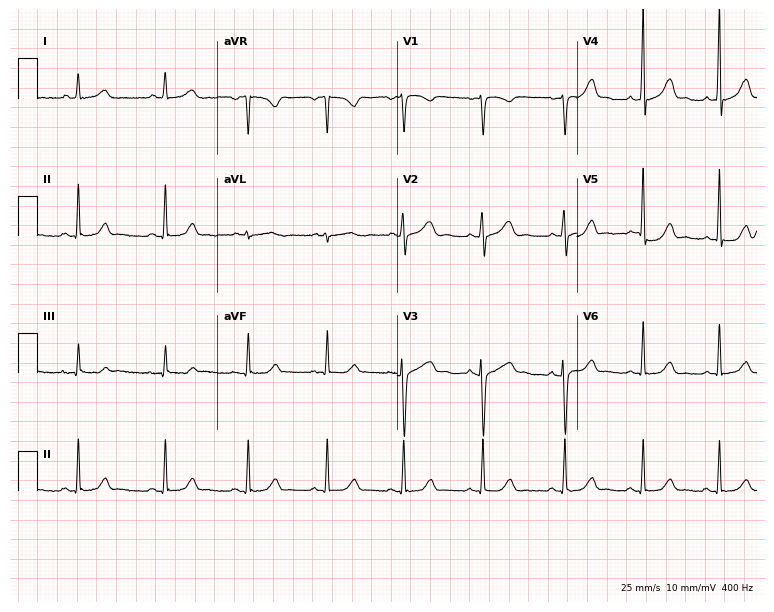
ECG (7.3-second recording at 400 Hz) — a 34-year-old female. Labelled as a normal ECG.